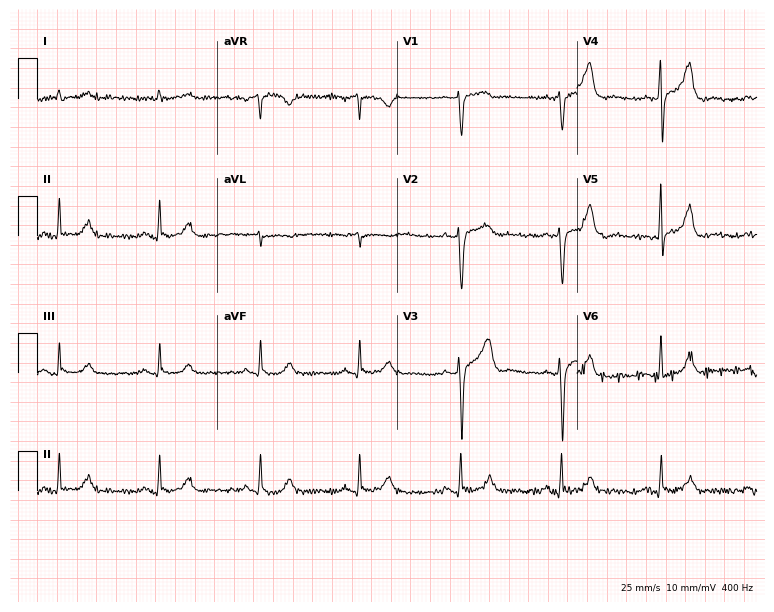
Resting 12-lead electrocardiogram. Patient: a man, 72 years old. None of these six findings is recorded: first-degree AV block, right bundle branch block, left bundle branch block, sinus bradycardia, atrial fibrillation, sinus tachycardia. Only these six findings were labelled.